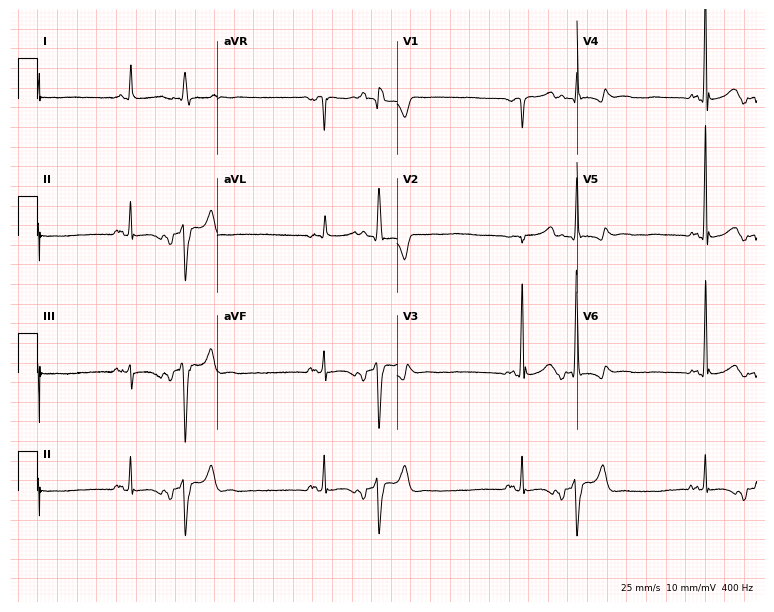
ECG (7.3-second recording at 400 Hz) — a male patient, 62 years old. Screened for six findings — first-degree AV block, right bundle branch block, left bundle branch block, sinus bradycardia, atrial fibrillation, sinus tachycardia — none is recorded.